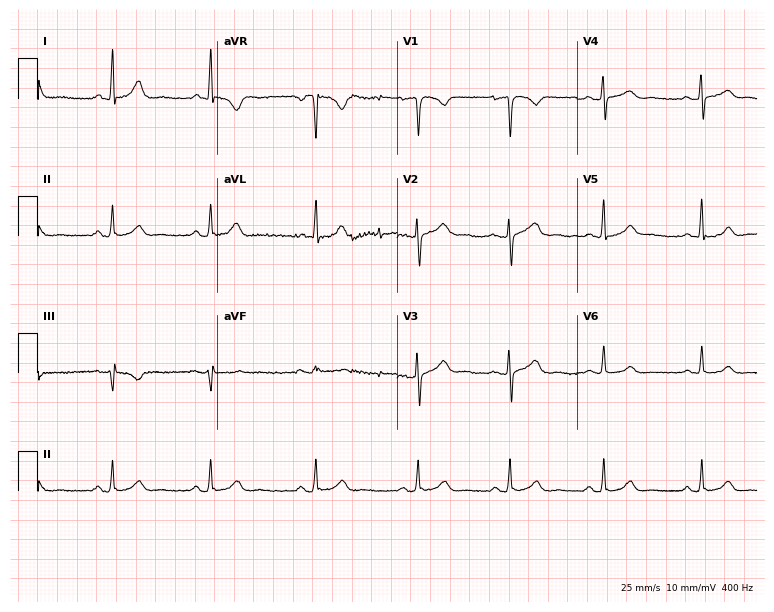
ECG — a 29-year-old female patient. Screened for six findings — first-degree AV block, right bundle branch block, left bundle branch block, sinus bradycardia, atrial fibrillation, sinus tachycardia — none is recorded. Other findings, if any, are not listed.